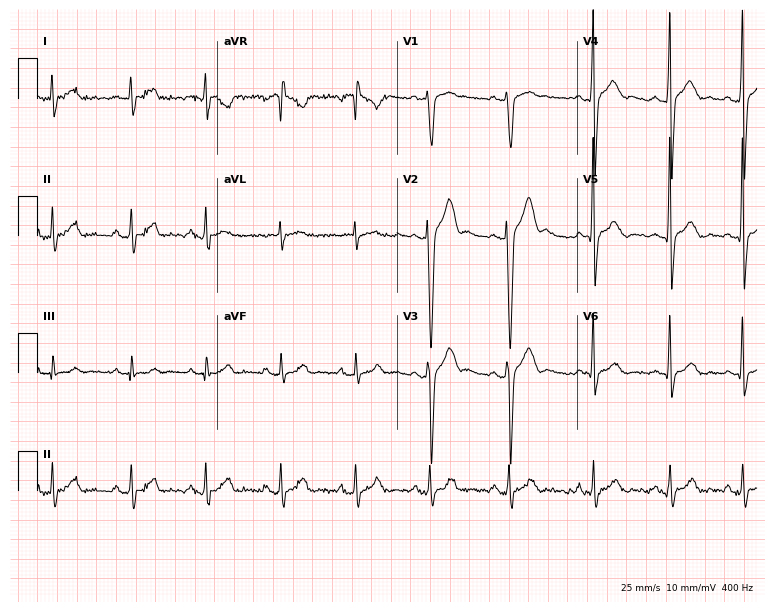
Standard 12-lead ECG recorded from a 26-year-old male (7.3-second recording at 400 Hz). None of these six findings is recorded: first-degree AV block, right bundle branch block, left bundle branch block, sinus bradycardia, atrial fibrillation, sinus tachycardia. Only these six findings were labelled.